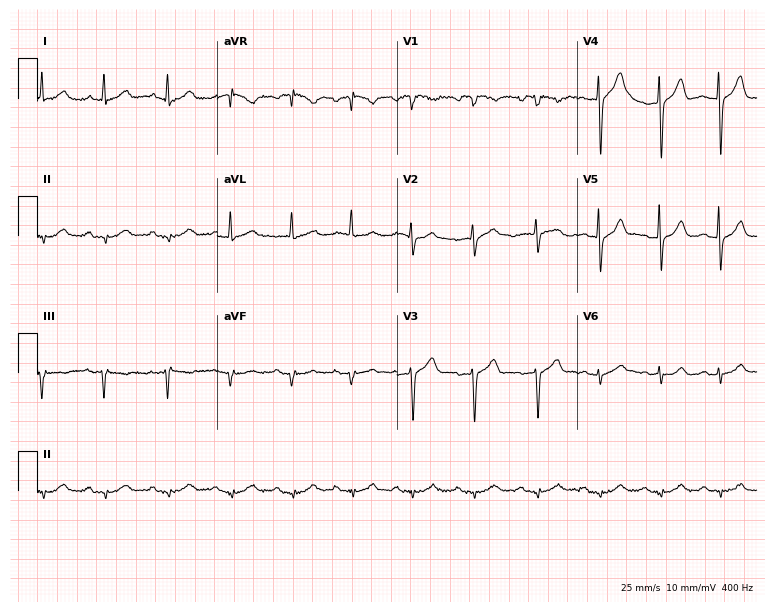
12-lead ECG from a male, 80 years old. No first-degree AV block, right bundle branch block, left bundle branch block, sinus bradycardia, atrial fibrillation or sinus tachycardia recorded for this tracing.